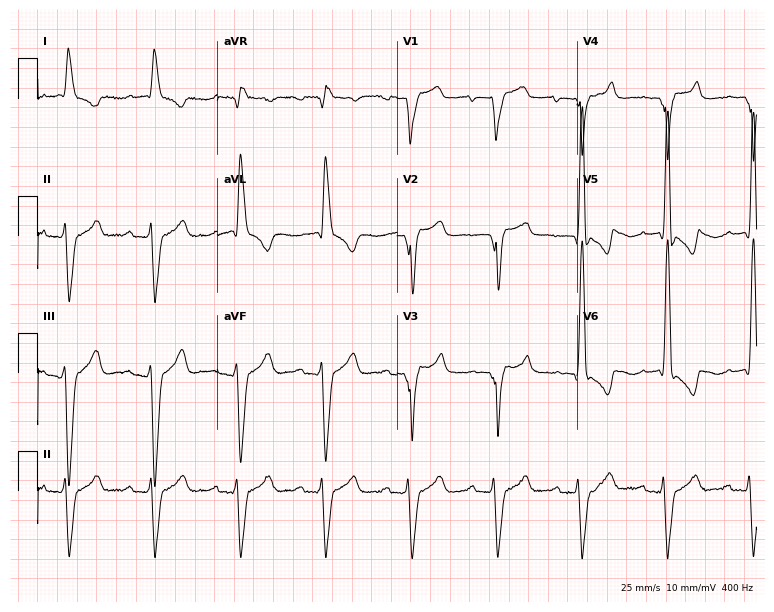
12-lead ECG (7.3-second recording at 400 Hz) from a man, 73 years old. Findings include first-degree AV block.